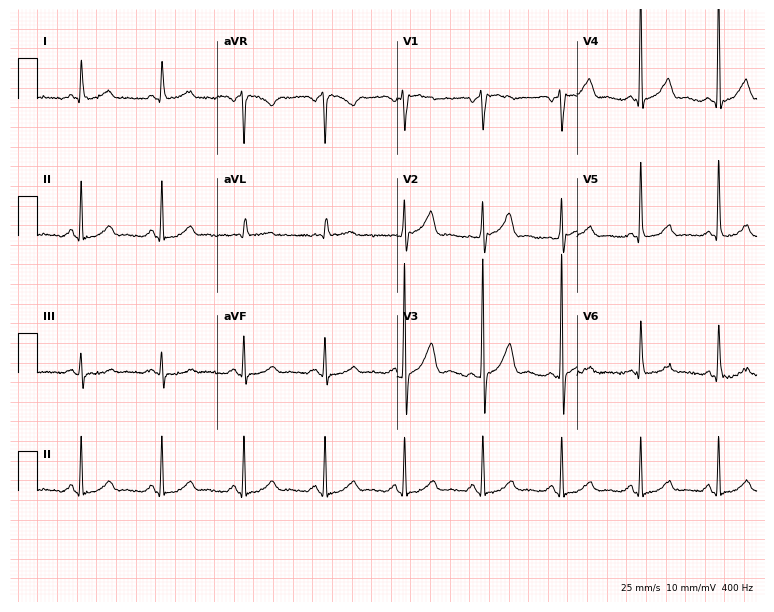
Resting 12-lead electrocardiogram. Patient: an 81-year-old female. Read as a normal ECG.